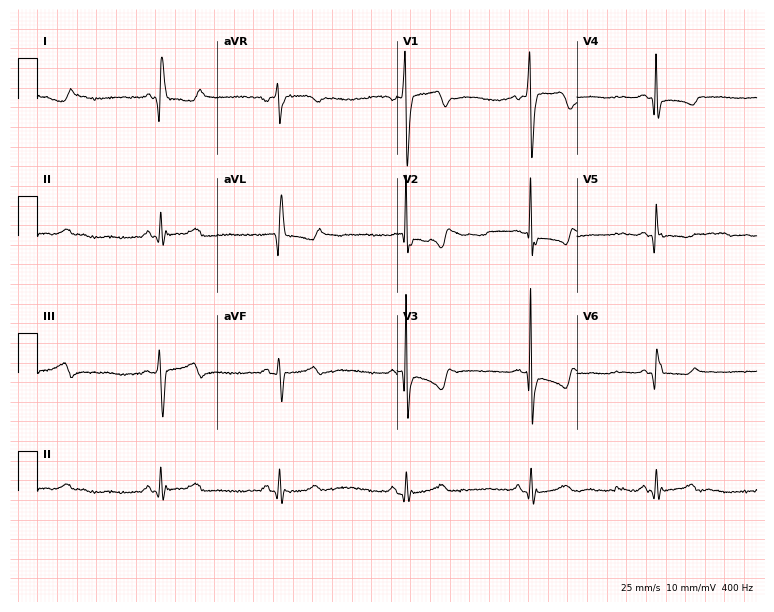
ECG (7.3-second recording at 400 Hz) — a 59-year-old female. Screened for six findings — first-degree AV block, right bundle branch block, left bundle branch block, sinus bradycardia, atrial fibrillation, sinus tachycardia — none is recorded. Only these six findings were labelled.